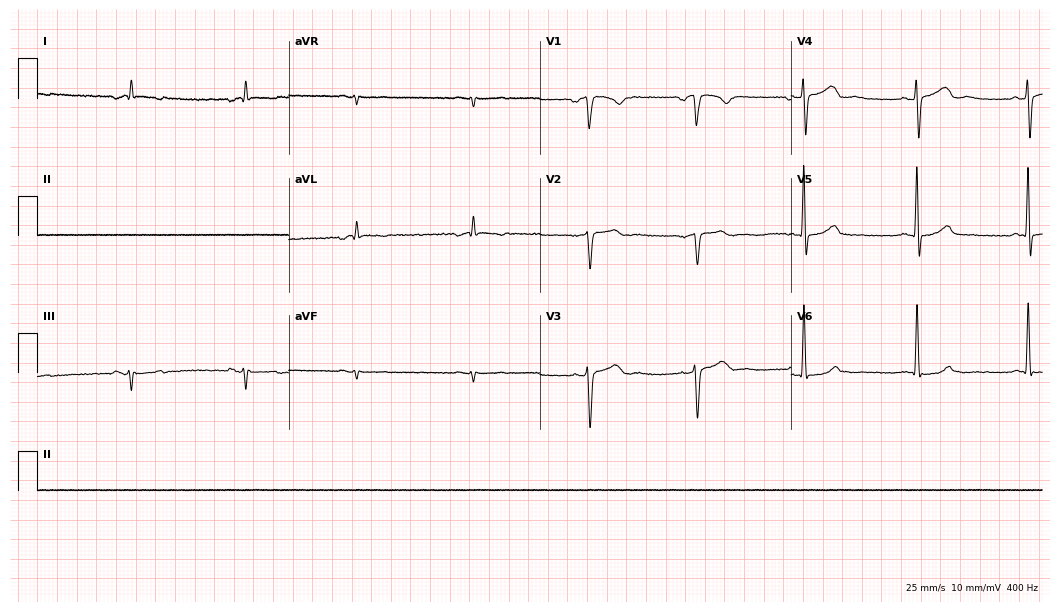
12-lead ECG from a 59-year-old male (10.2-second recording at 400 Hz). No first-degree AV block, right bundle branch block, left bundle branch block, sinus bradycardia, atrial fibrillation or sinus tachycardia recorded for this tracing. Findings outside these six are not listed.